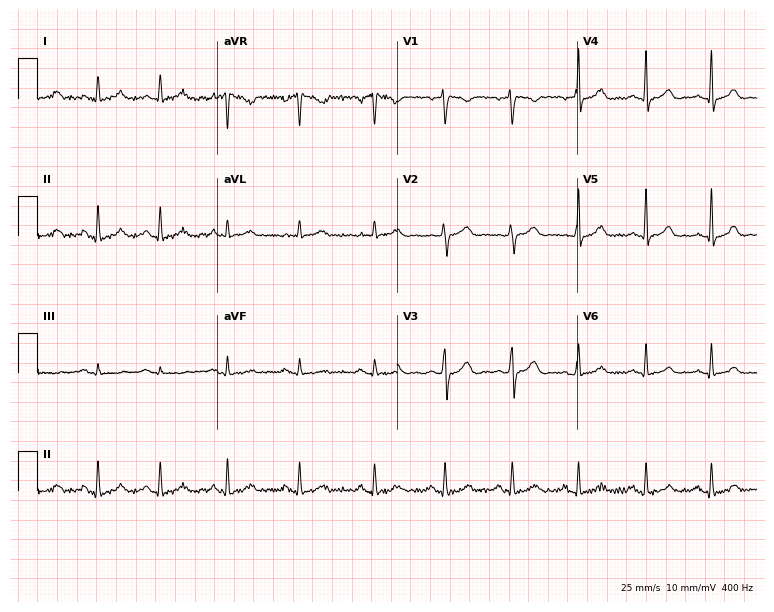
Resting 12-lead electrocardiogram (7.3-second recording at 400 Hz). Patient: a woman, 37 years old. Read as a normal ECG.